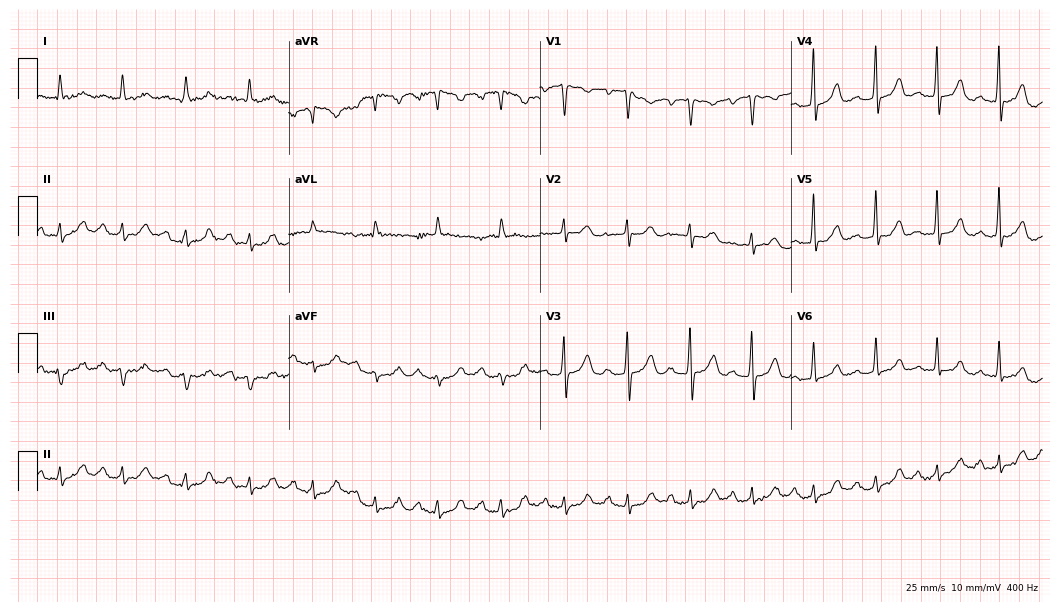
12-lead ECG from a woman, 75 years old (10.2-second recording at 400 Hz). Shows first-degree AV block.